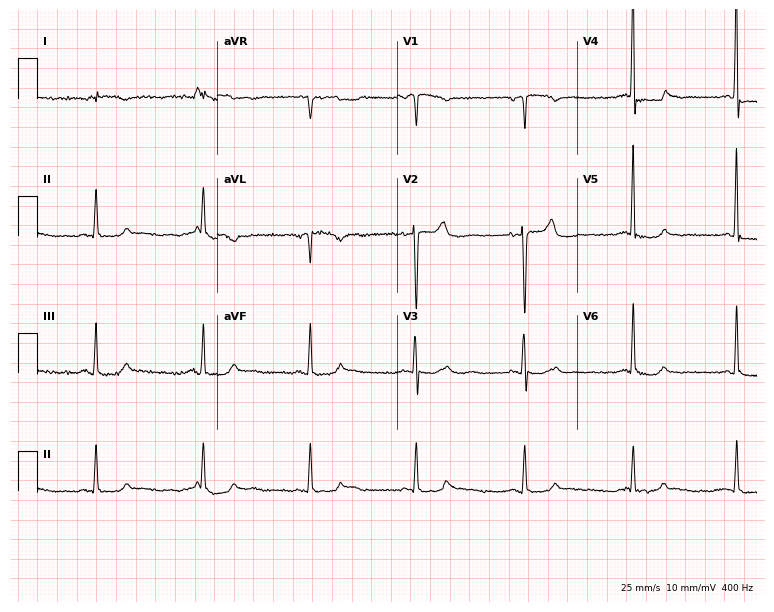
12-lead ECG (7.3-second recording at 400 Hz) from a woman, 68 years old. Screened for six findings — first-degree AV block, right bundle branch block (RBBB), left bundle branch block (LBBB), sinus bradycardia, atrial fibrillation (AF), sinus tachycardia — none is recorded. Other findings, if any, are not listed.